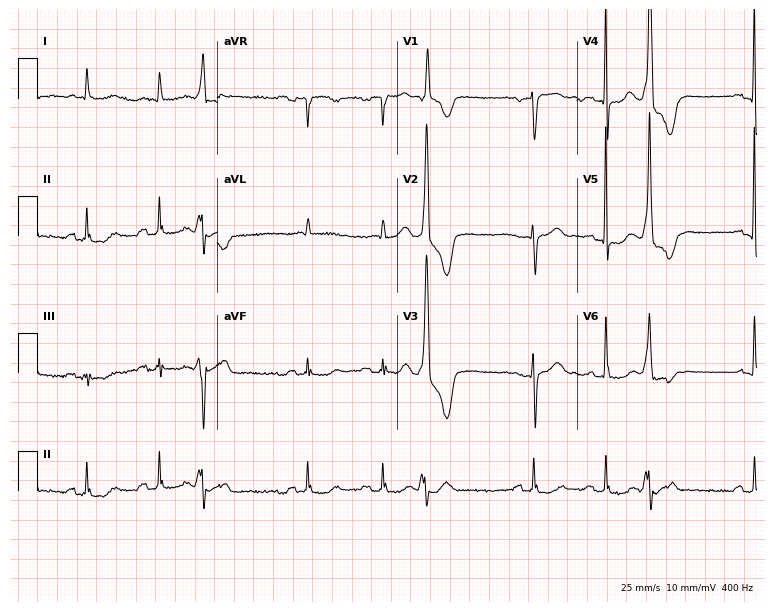
12-lead ECG from a 77-year-old woman (7.3-second recording at 400 Hz). No first-degree AV block, right bundle branch block, left bundle branch block, sinus bradycardia, atrial fibrillation or sinus tachycardia recorded for this tracing. Other findings, if any, are not listed.